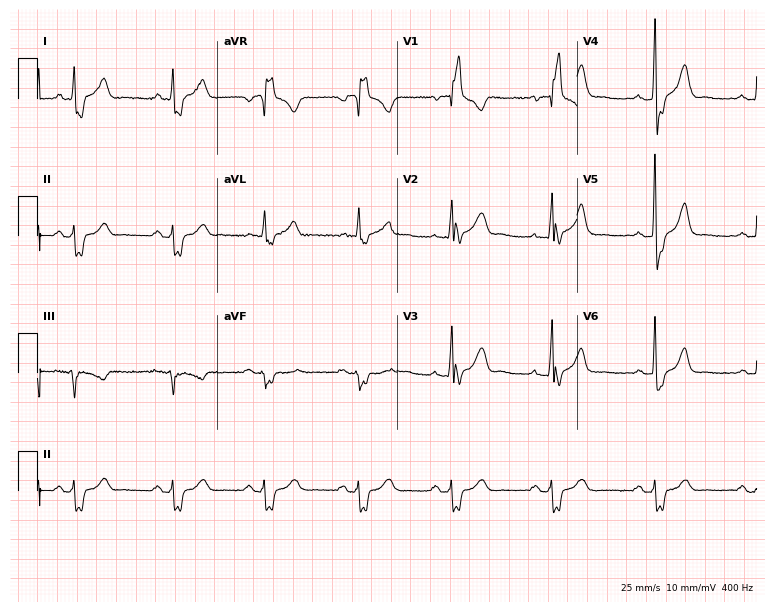
Resting 12-lead electrocardiogram. Patient: a 46-year-old man. The tracing shows right bundle branch block (RBBB).